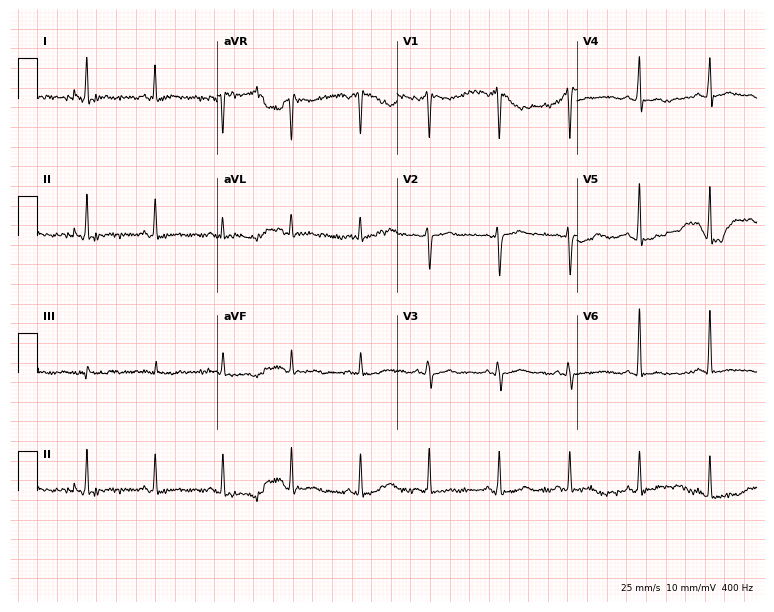
Standard 12-lead ECG recorded from a 34-year-old male patient. None of these six findings is recorded: first-degree AV block, right bundle branch block (RBBB), left bundle branch block (LBBB), sinus bradycardia, atrial fibrillation (AF), sinus tachycardia. Only these six findings were labelled.